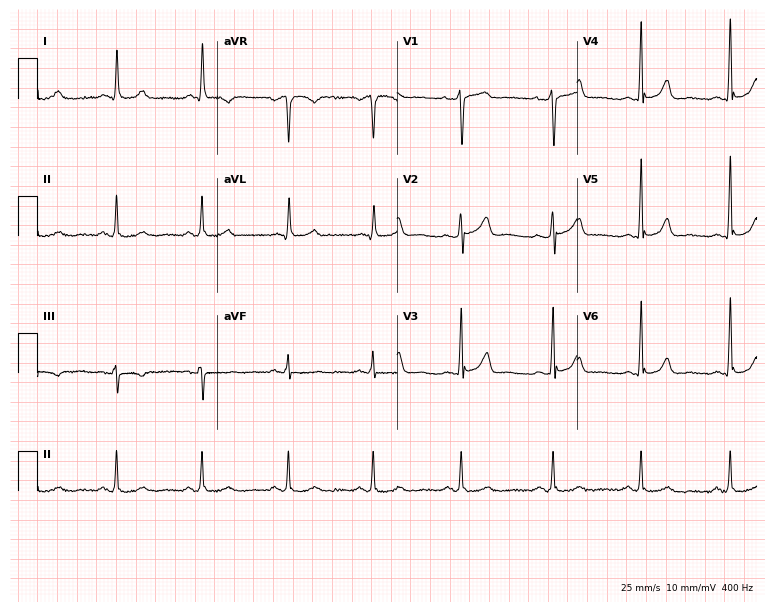
Standard 12-lead ECG recorded from a female, 57 years old. None of these six findings is recorded: first-degree AV block, right bundle branch block, left bundle branch block, sinus bradycardia, atrial fibrillation, sinus tachycardia. Findings outside these six are not listed.